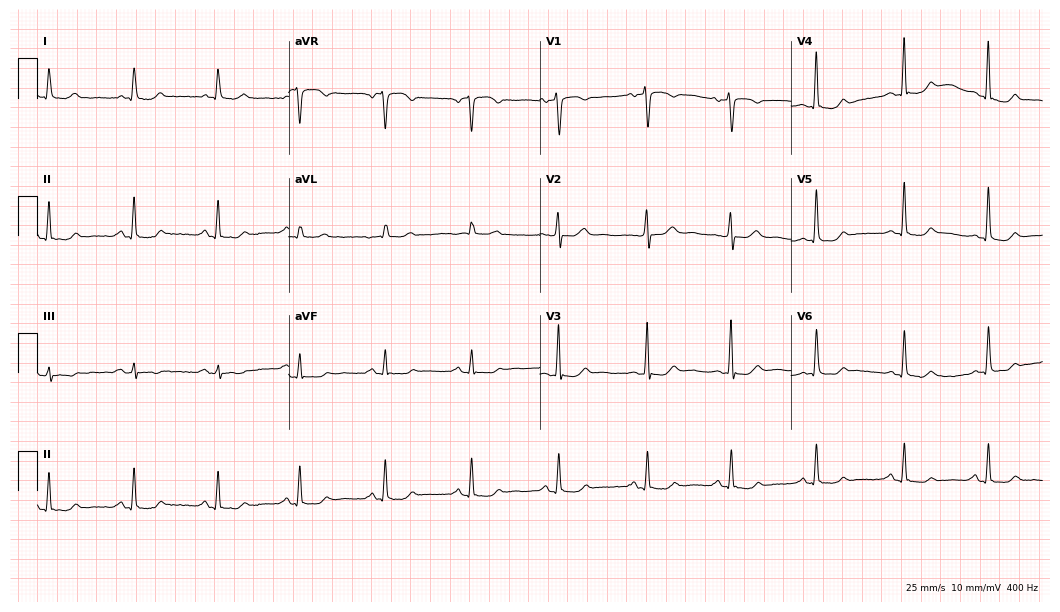
12-lead ECG from a woman, 62 years old. Recorded interpretation: within normal limits.